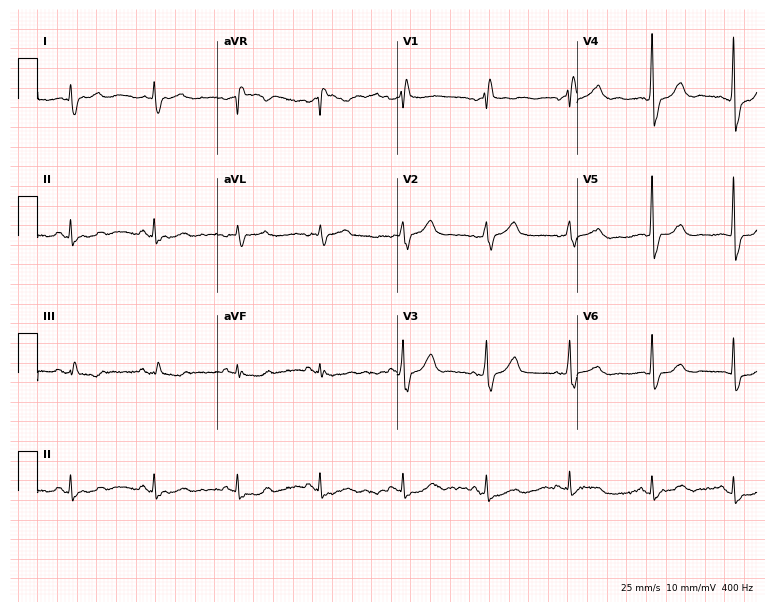
ECG (7.3-second recording at 400 Hz) — a male, 78 years old. Screened for six findings — first-degree AV block, right bundle branch block, left bundle branch block, sinus bradycardia, atrial fibrillation, sinus tachycardia — none is recorded. Other findings, if any, are not listed.